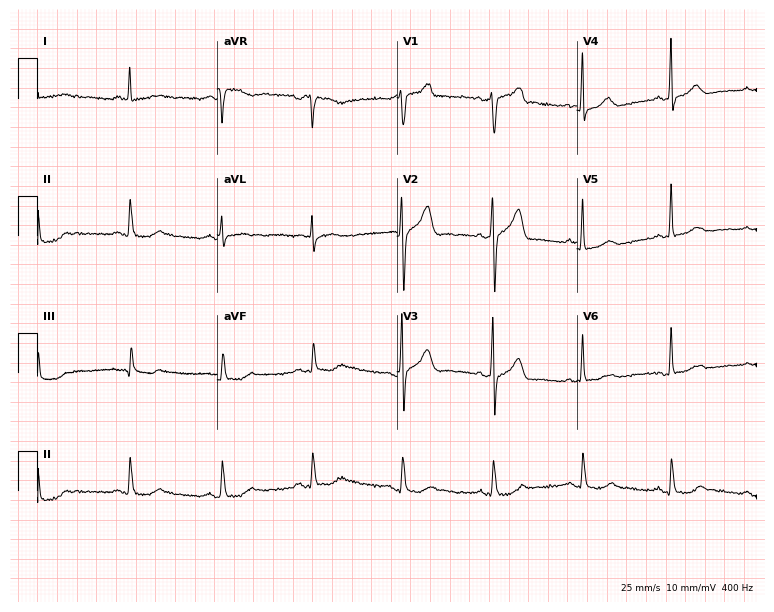
Resting 12-lead electrocardiogram (7.3-second recording at 400 Hz). Patient: a 48-year-old male. None of these six findings is recorded: first-degree AV block, right bundle branch block, left bundle branch block, sinus bradycardia, atrial fibrillation, sinus tachycardia.